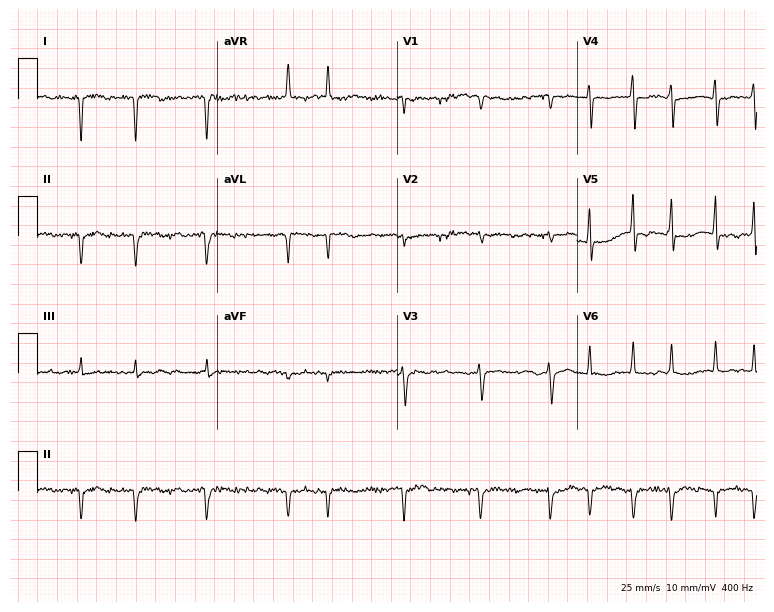
ECG — a female, 83 years old. Screened for six findings — first-degree AV block, right bundle branch block (RBBB), left bundle branch block (LBBB), sinus bradycardia, atrial fibrillation (AF), sinus tachycardia — none is recorded.